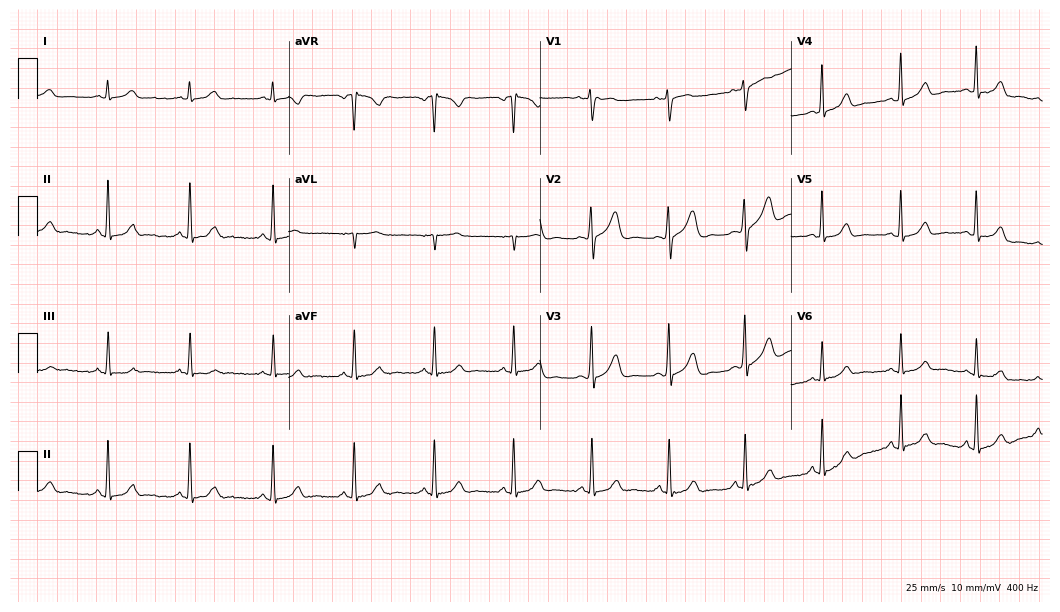
Electrocardiogram (10.2-second recording at 400 Hz), a woman, 17 years old. Overall reading on record: normal ECG.